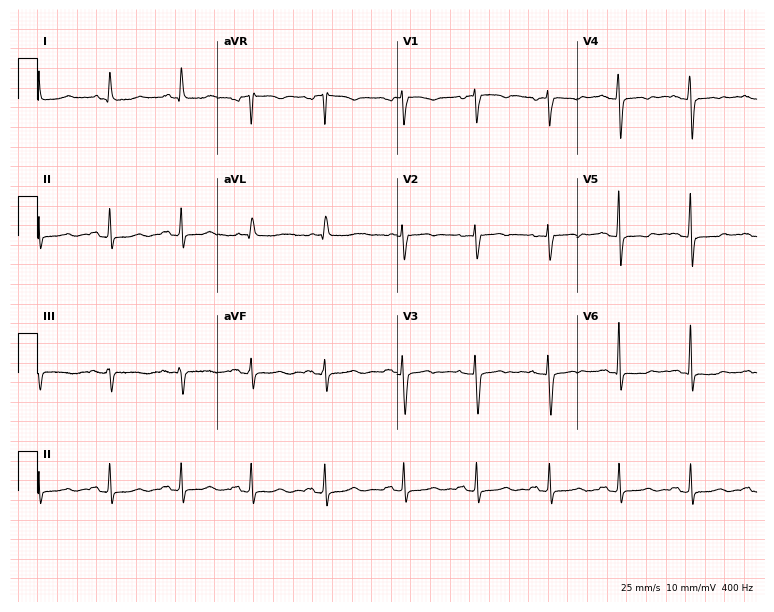
12-lead ECG from a 47-year-old female patient. No first-degree AV block, right bundle branch block, left bundle branch block, sinus bradycardia, atrial fibrillation or sinus tachycardia recorded for this tracing.